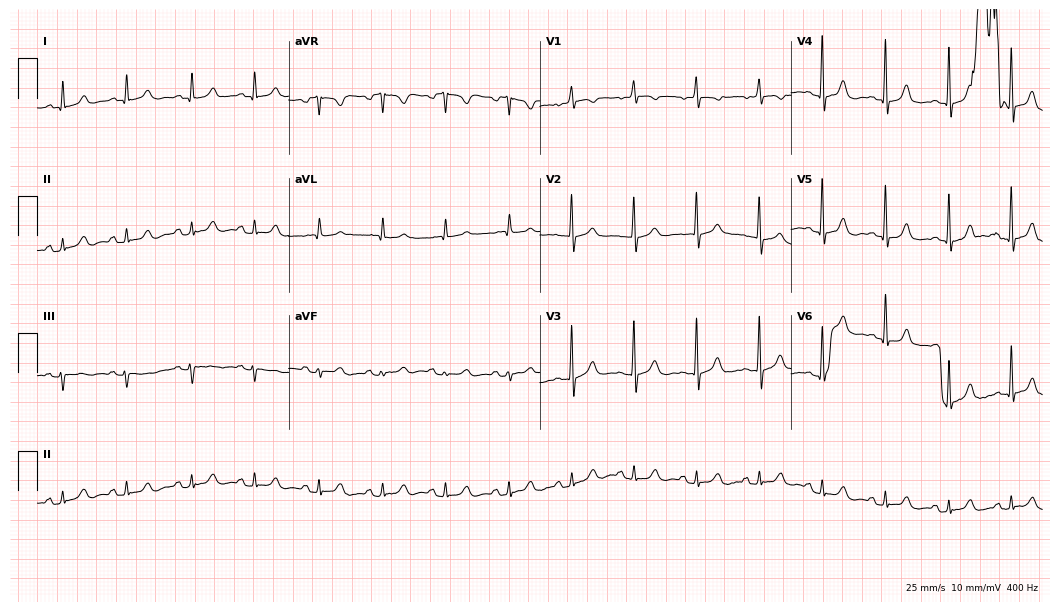
Resting 12-lead electrocardiogram (10.2-second recording at 400 Hz). Patient: a 77-year-old female. None of these six findings is recorded: first-degree AV block, right bundle branch block, left bundle branch block, sinus bradycardia, atrial fibrillation, sinus tachycardia.